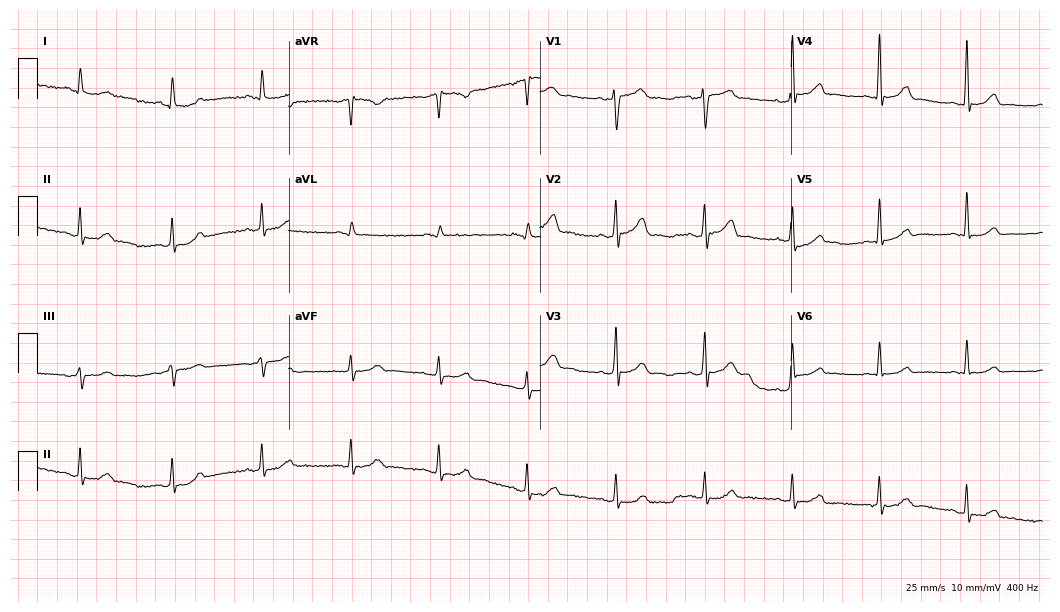
Standard 12-lead ECG recorded from a 63-year-old male. Read as a normal ECG.